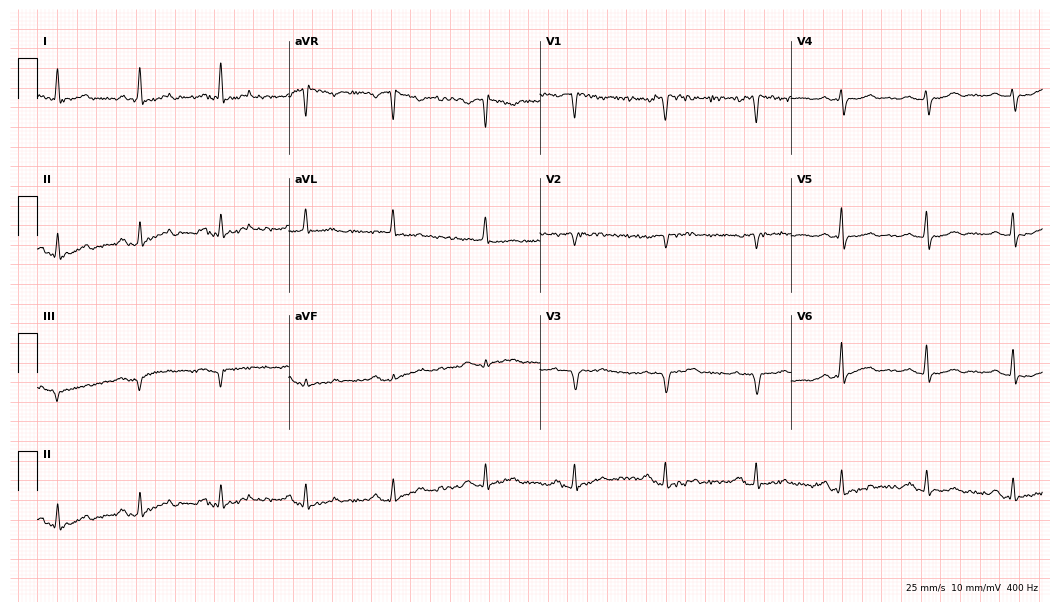
Resting 12-lead electrocardiogram. Patient: a 57-year-old woman. Read as a normal ECG.